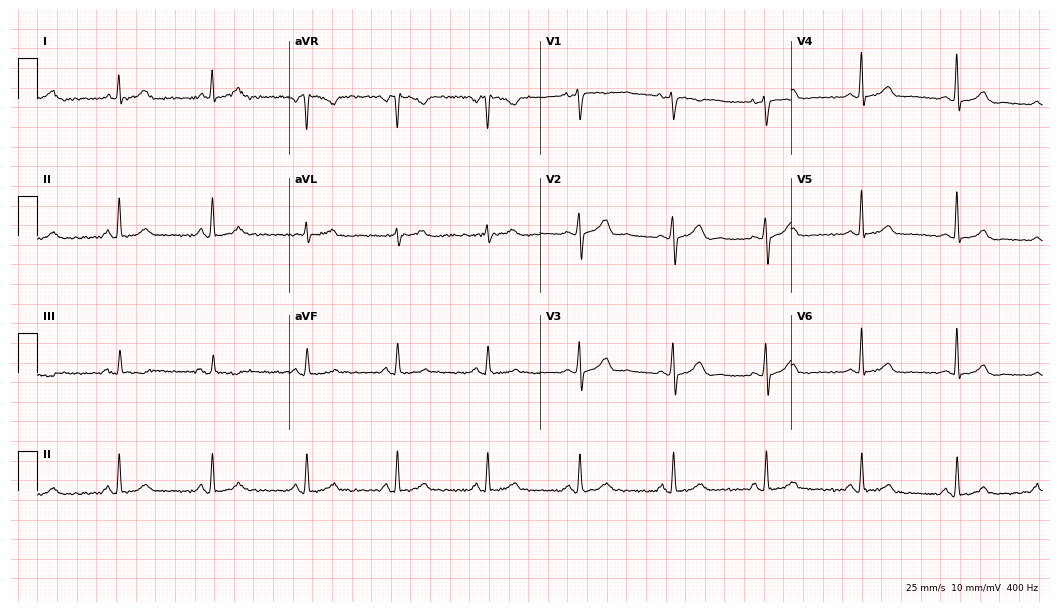
Electrocardiogram, a female, 50 years old. Of the six screened findings (first-degree AV block, right bundle branch block, left bundle branch block, sinus bradycardia, atrial fibrillation, sinus tachycardia), none is recorded.